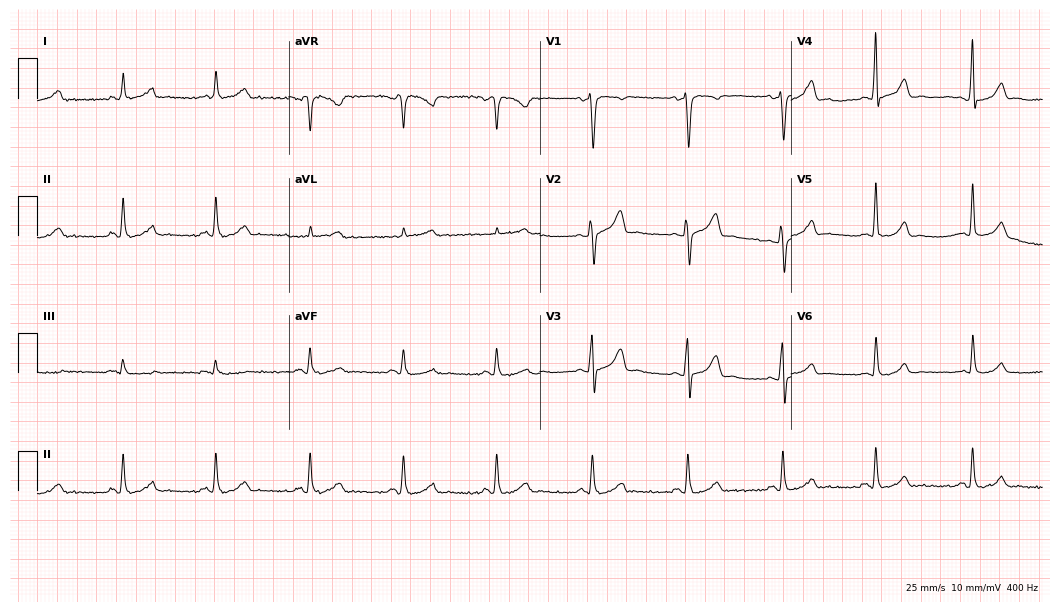
Resting 12-lead electrocardiogram. Patient: a 57-year-old male. None of these six findings is recorded: first-degree AV block, right bundle branch block (RBBB), left bundle branch block (LBBB), sinus bradycardia, atrial fibrillation (AF), sinus tachycardia. Other findings, if any, are not listed.